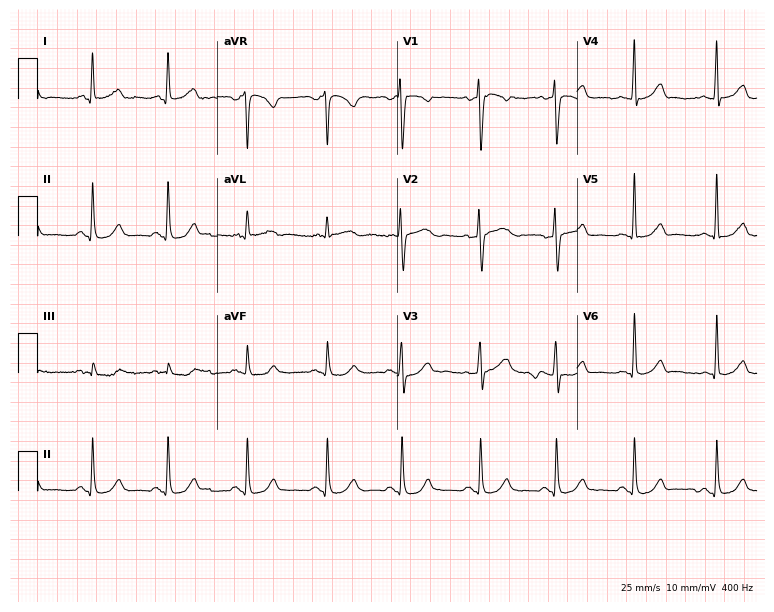
ECG — a female patient, 37 years old. Labelled as a normal ECG.